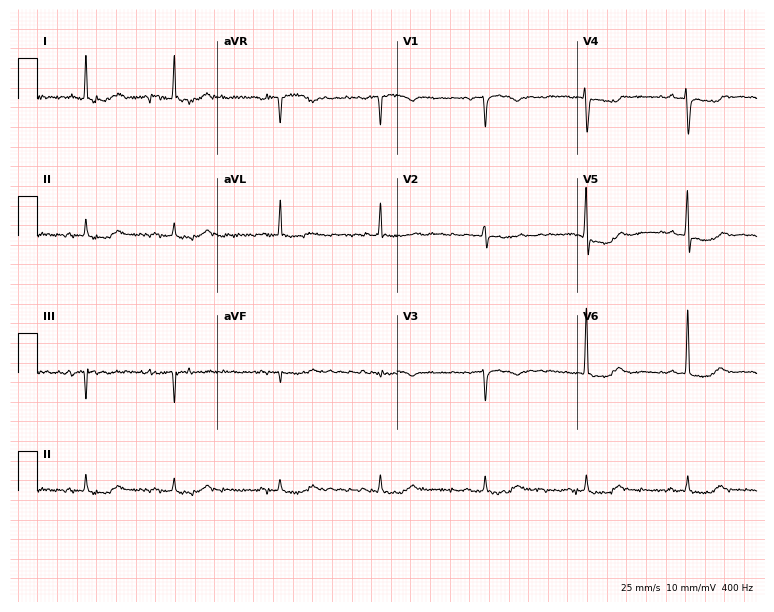
Resting 12-lead electrocardiogram (7.3-second recording at 400 Hz). Patient: a woman, 83 years old. None of these six findings is recorded: first-degree AV block, right bundle branch block (RBBB), left bundle branch block (LBBB), sinus bradycardia, atrial fibrillation (AF), sinus tachycardia. Only these six findings were labelled.